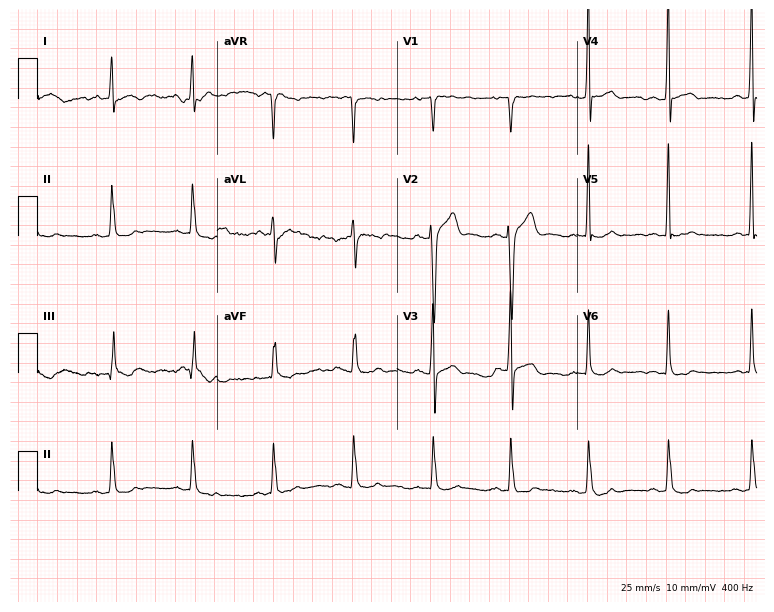
12-lead ECG from a 37-year-old male patient (7.3-second recording at 400 Hz). No first-degree AV block, right bundle branch block, left bundle branch block, sinus bradycardia, atrial fibrillation or sinus tachycardia recorded for this tracing. Findings outside these six are not listed.